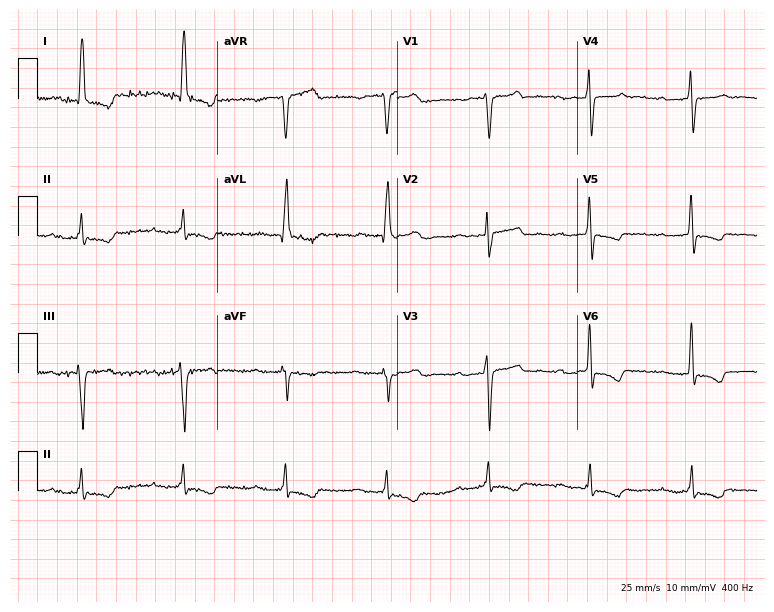
Electrocardiogram, a male, 81 years old. Interpretation includes first-degree AV block.